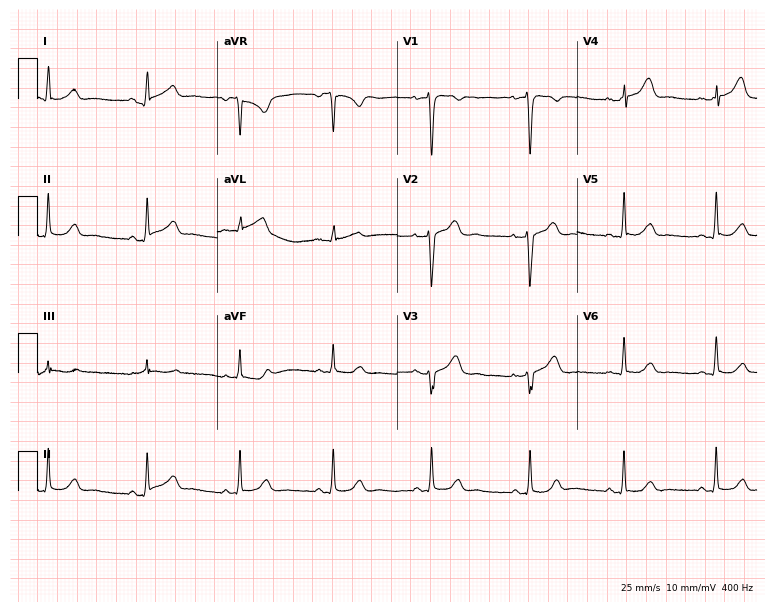
Standard 12-lead ECG recorded from a woman, 41 years old (7.3-second recording at 400 Hz). None of these six findings is recorded: first-degree AV block, right bundle branch block, left bundle branch block, sinus bradycardia, atrial fibrillation, sinus tachycardia. Only these six findings were labelled.